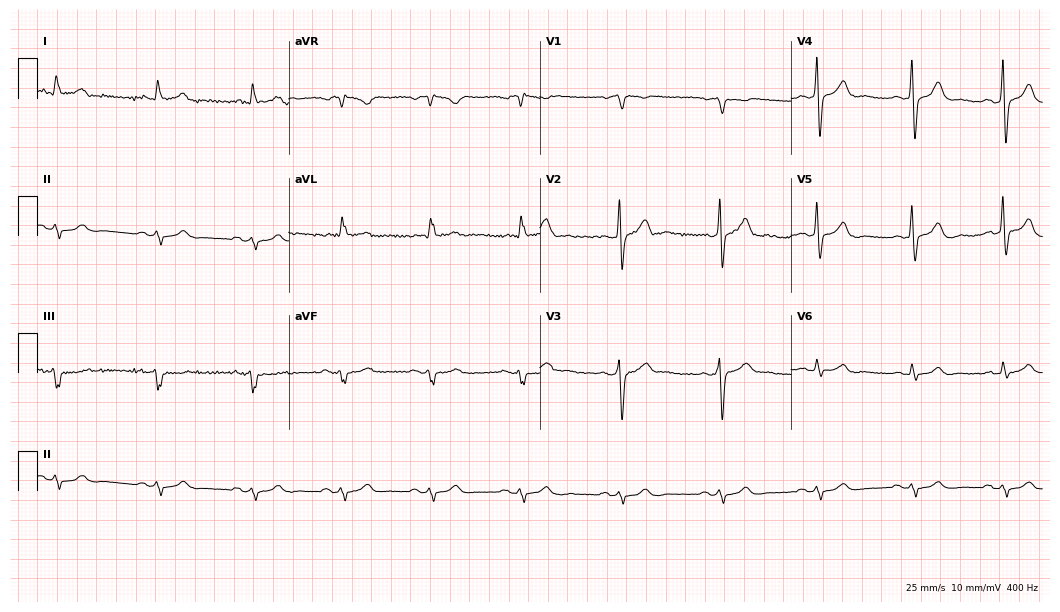
Resting 12-lead electrocardiogram. Patient: a male, 70 years old. None of these six findings is recorded: first-degree AV block, right bundle branch block, left bundle branch block, sinus bradycardia, atrial fibrillation, sinus tachycardia.